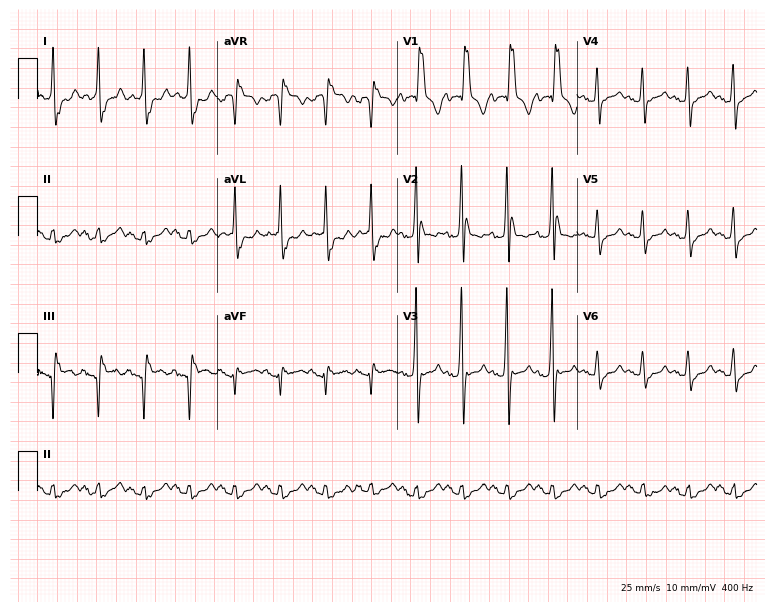
ECG — a 75-year-old female. Findings include right bundle branch block, sinus tachycardia (a sinus rate of 100 beats per minute or more).